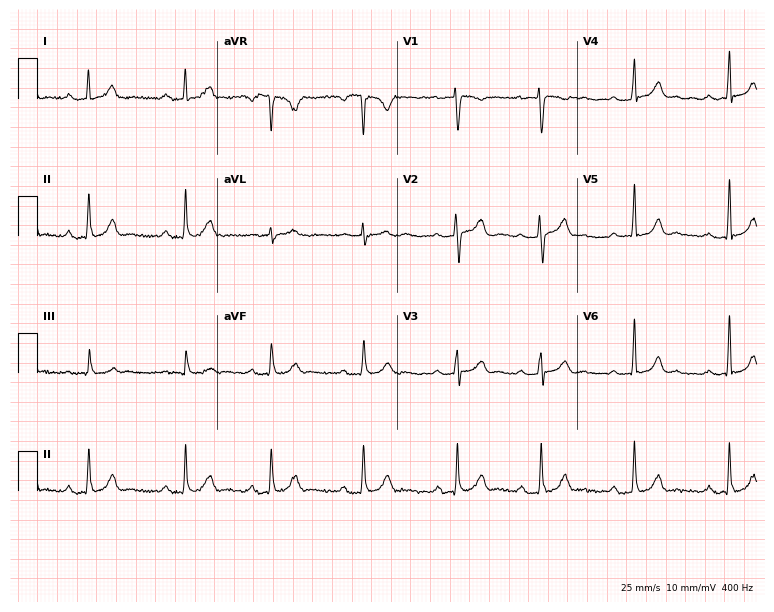
12-lead ECG from a female patient, 29 years old. Findings include first-degree AV block.